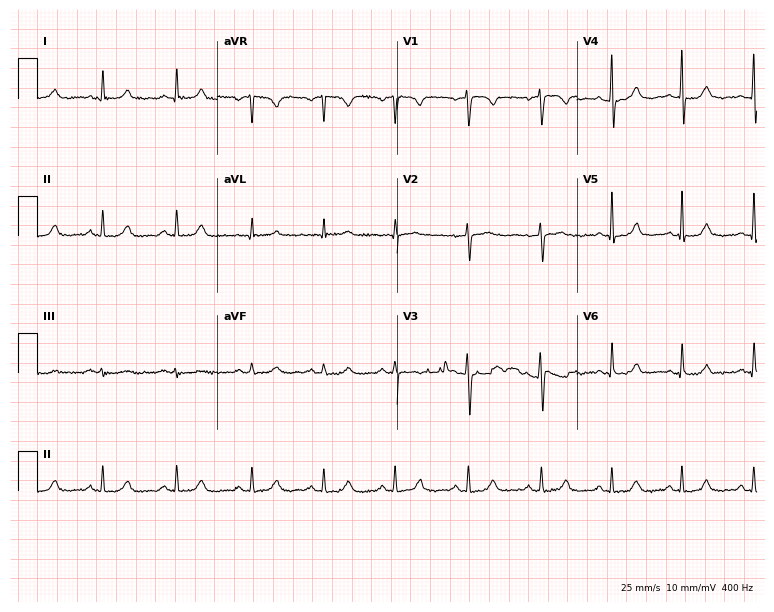
Standard 12-lead ECG recorded from a 50-year-old woman (7.3-second recording at 400 Hz). Read as a normal ECG.